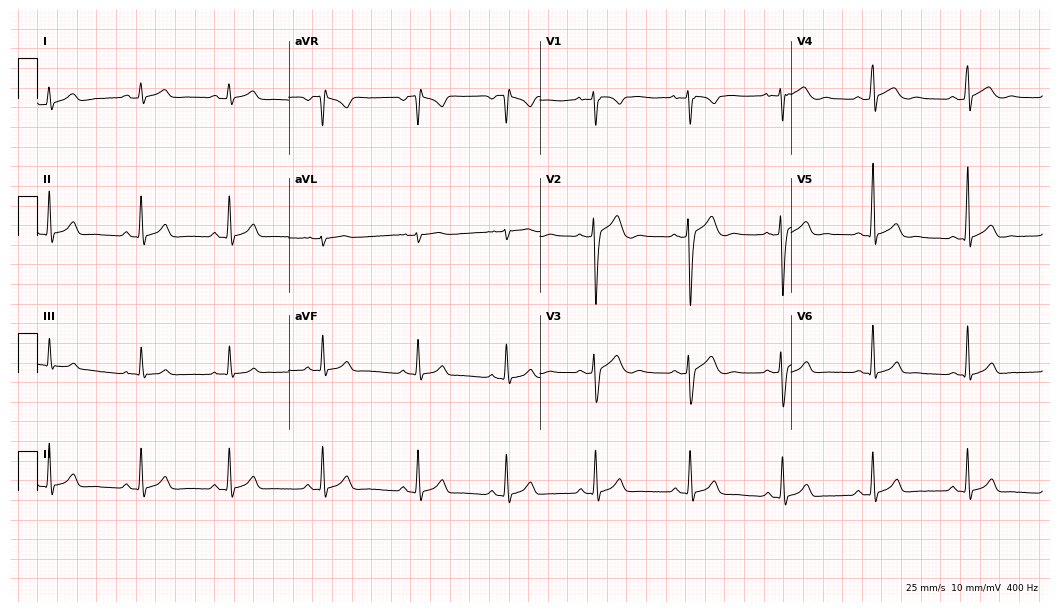
ECG — a 17-year-old man. Screened for six findings — first-degree AV block, right bundle branch block (RBBB), left bundle branch block (LBBB), sinus bradycardia, atrial fibrillation (AF), sinus tachycardia — none is recorded.